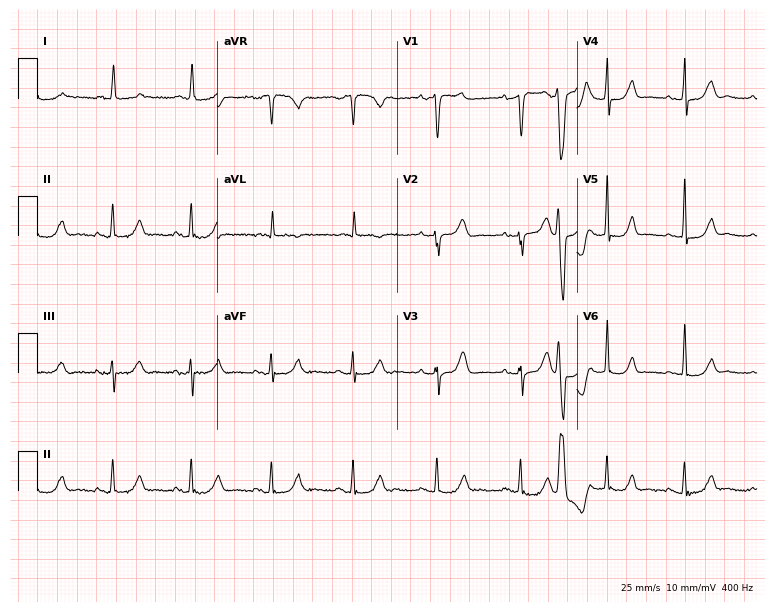
ECG — an 87-year-old female patient. Screened for six findings — first-degree AV block, right bundle branch block, left bundle branch block, sinus bradycardia, atrial fibrillation, sinus tachycardia — none is recorded.